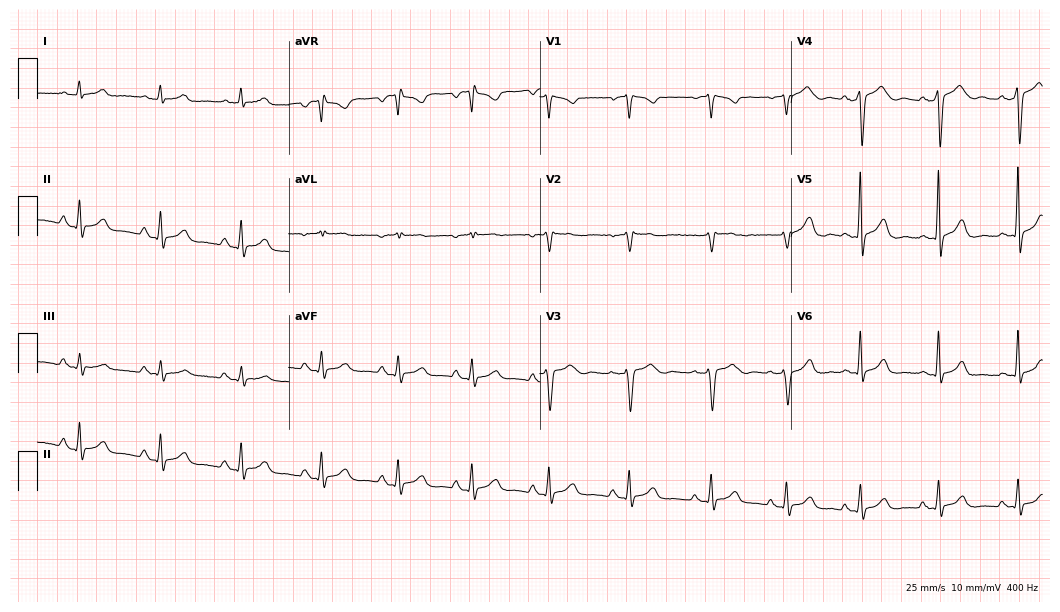
12-lead ECG (10.2-second recording at 400 Hz) from a female patient, 32 years old. Screened for six findings — first-degree AV block, right bundle branch block, left bundle branch block, sinus bradycardia, atrial fibrillation, sinus tachycardia — none is recorded.